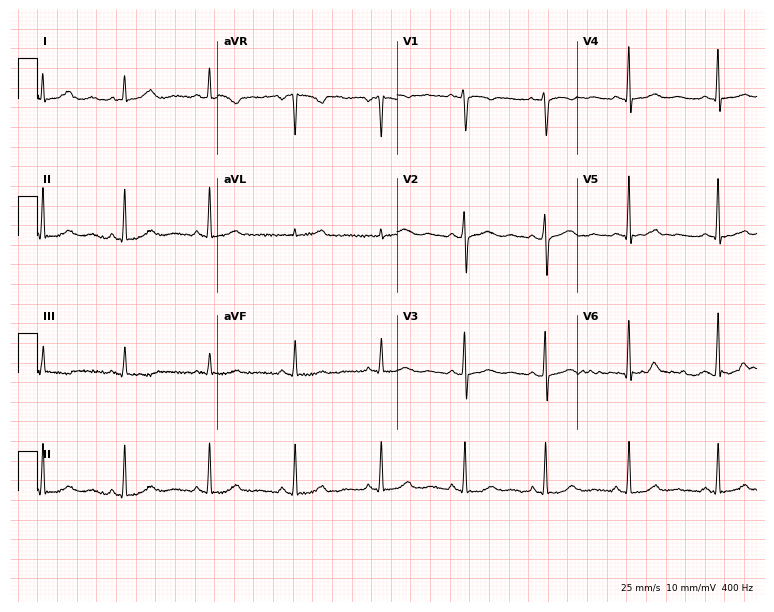
Standard 12-lead ECG recorded from a 25-year-old woman (7.3-second recording at 400 Hz). Read as a normal ECG.